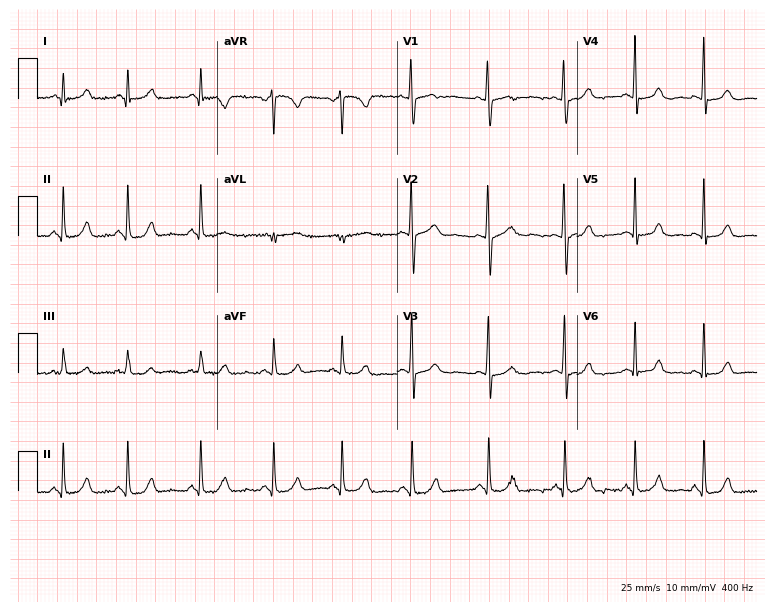
12-lead ECG (7.3-second recording at 400 Hz) from a woman, 17 years old. Labelled as a normal ECG.